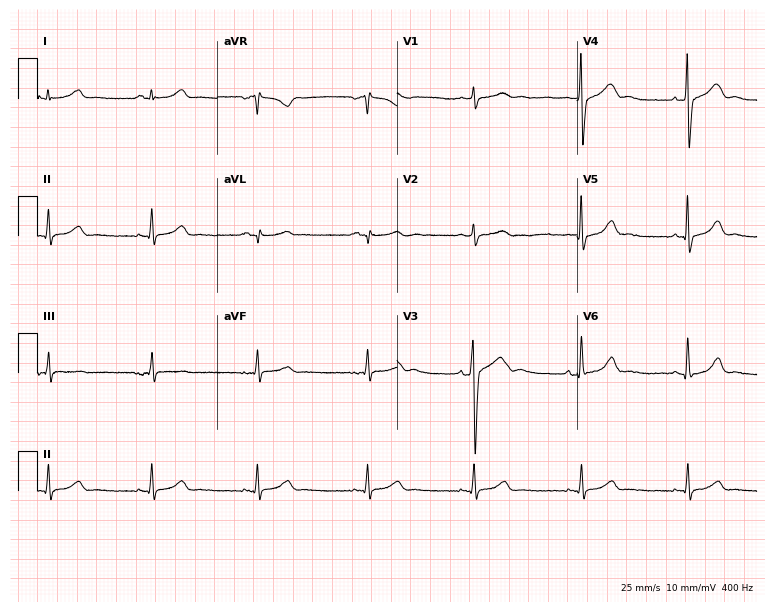
Standard 12-lead ECG recorded from a 45-year-old man. Read as a normal ECG.